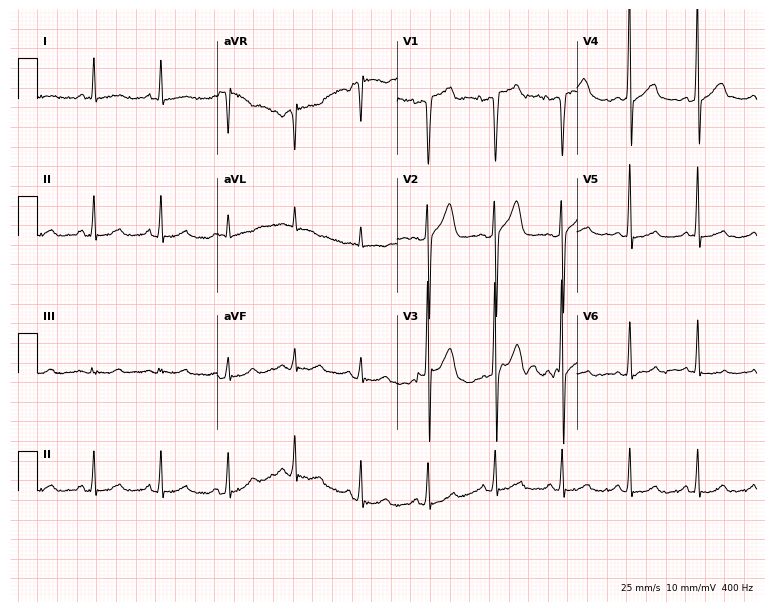
Resting 12-lead electrocardiogram (7.3-second recording at 400 Hz). Patient: a 47-year-old male. Read as a normal ECG.